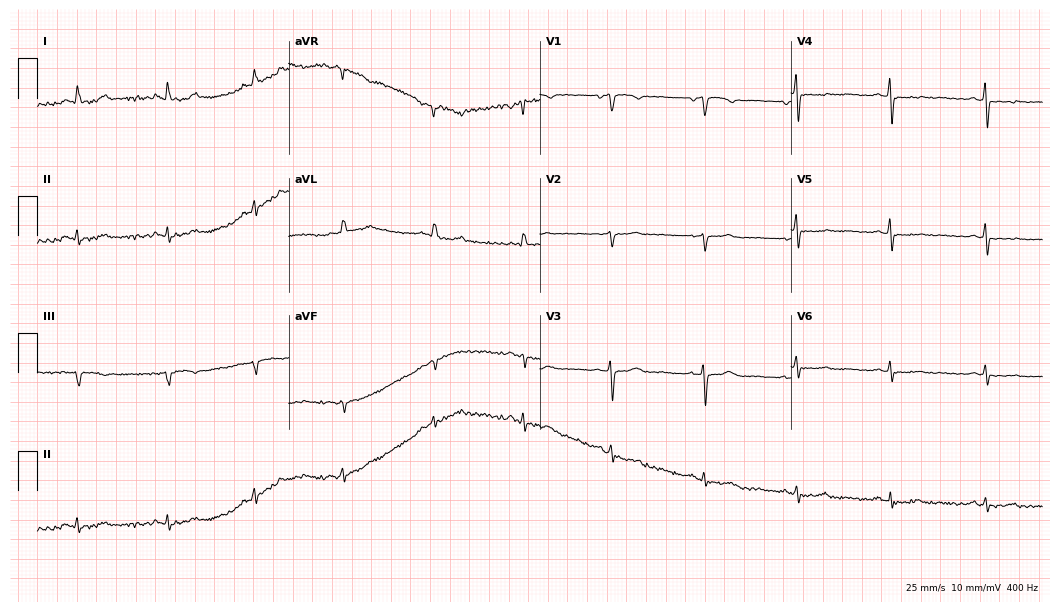
Electrocardiogram (10.2-second recording at 400 Hz), a woman, 62 years old. Of the six screened findings (first-degree AV block, right bundle branch block, left bundle branch block, sinus bradycardia, atrial fibrillation, sinus tachycardia), none is recorded. Findings outside these six are not listed.